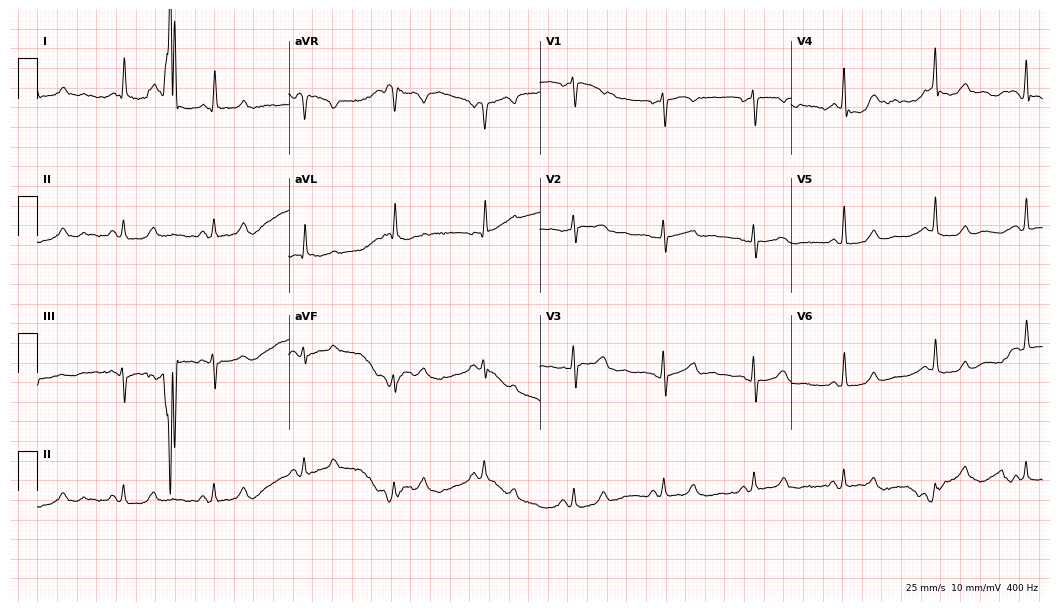
Resting 12-lead electrocardiogram. Patient: a female, 67 years old. None of these six findings is recorded: first-degree AV block, right bundle branch block, left bundle branch block, sinus bradycardia, atrial fibrillation, sinus tachycardia. Only these six findings were labelled.